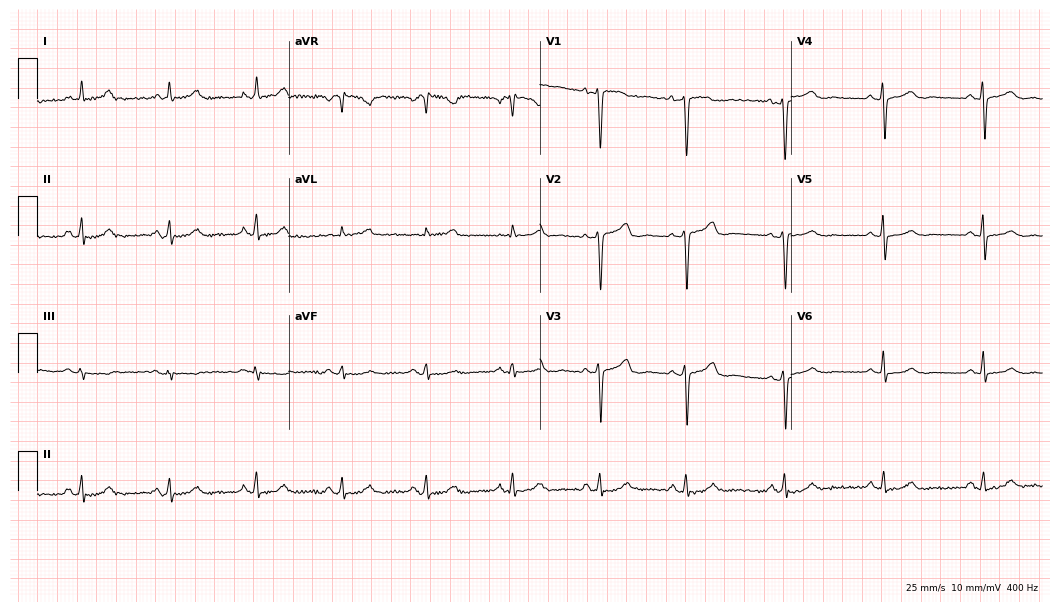
Electrocardiogram (10.2-second recording at 400 Hz), a 48-year-old female. Overall reading on record: normal ECG.